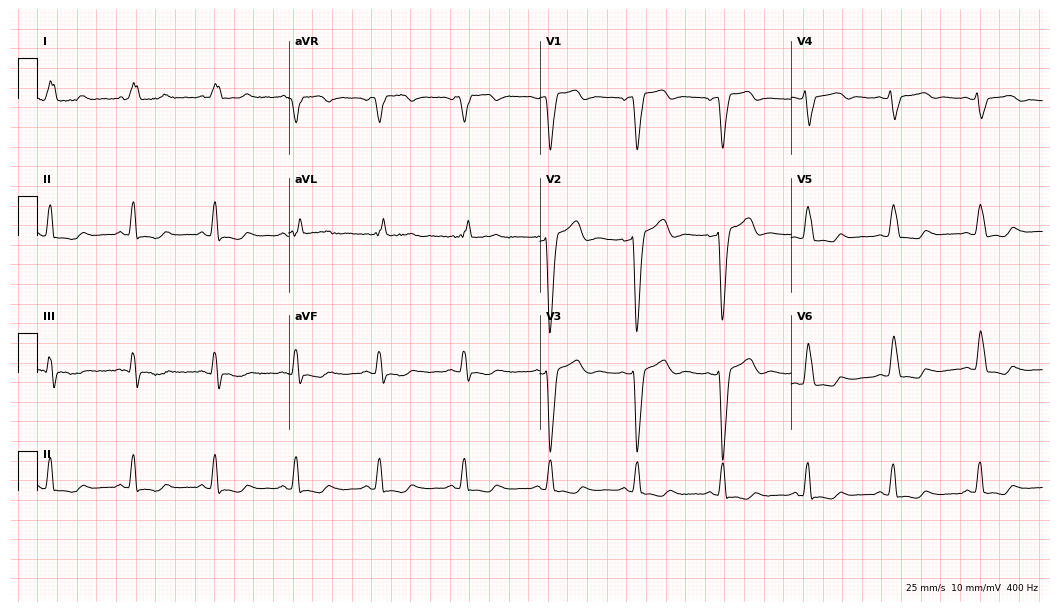
ECG — a woman, 52 years old. Findings include left bundle branch block.